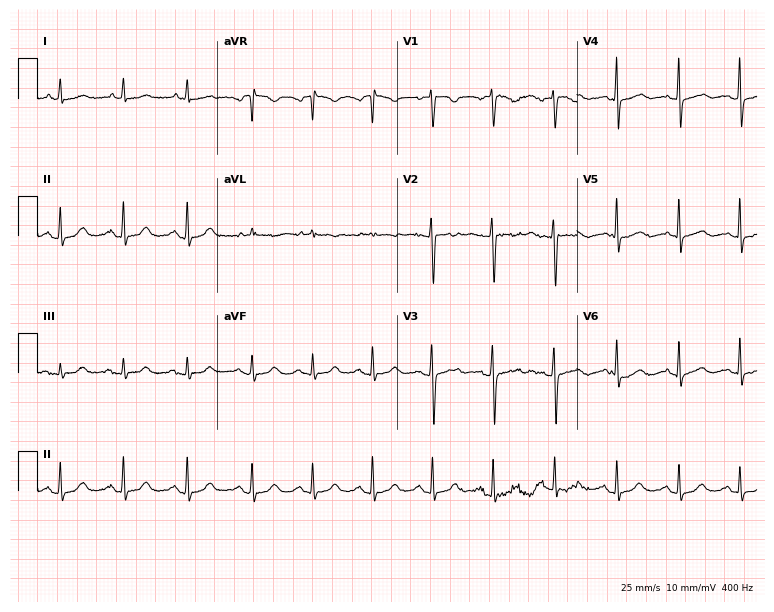
Resting 12-lead electrocardiogram (7.3-second recording at 400 Hz). Patient: a female, 34 years old. Read as a normal ECG.